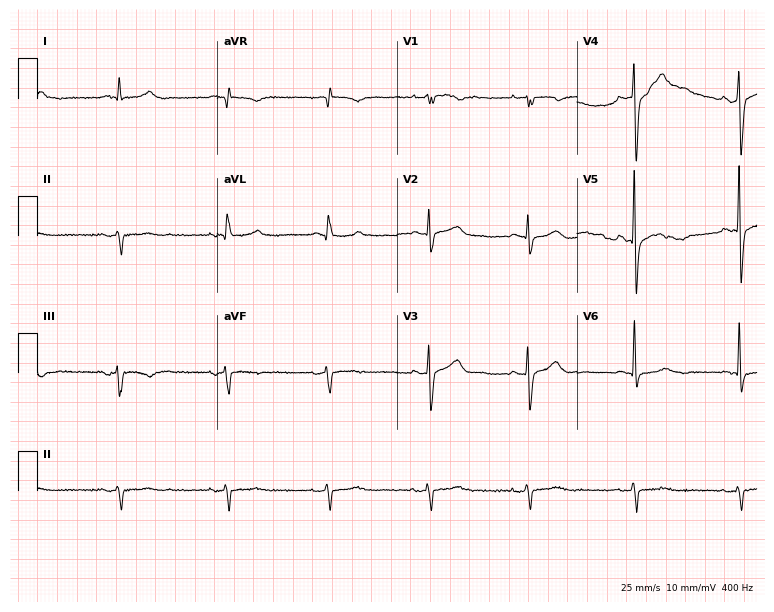
Resting 12-lead electrocardiogram. Patient: a 71-year-old male. None of these six findings is recorded: first-degree AV block, right bundle branch block, left bundle branch block, sinus bradycardia, atrial fibrillation, sinus tachycardia. Only these six findings were labelled.